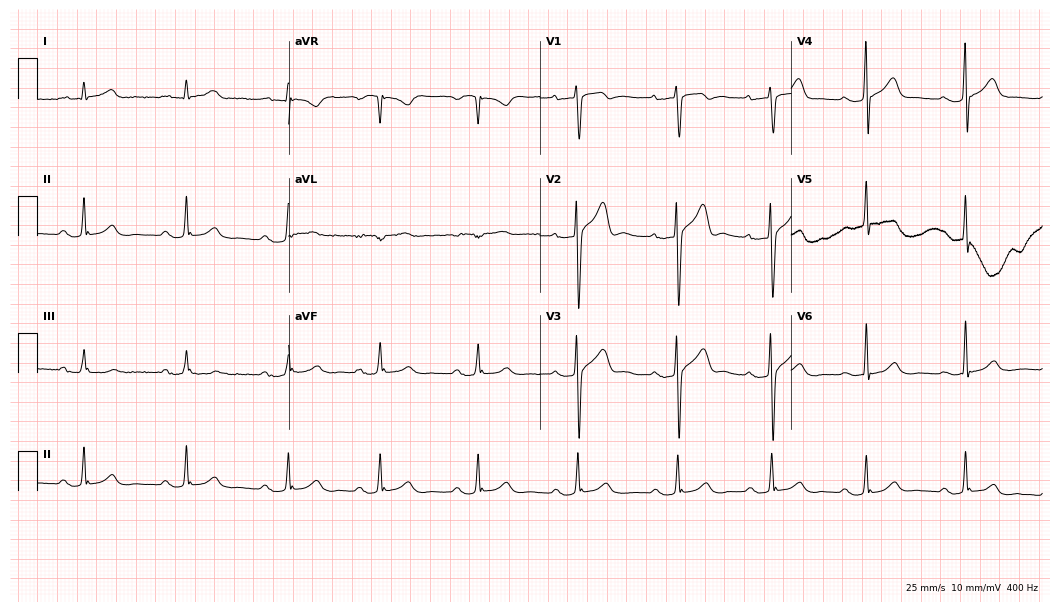
Resting 12-lead electrocardiogram. Patient: a 27-year-old male. The tracing shows first-degree AV block.